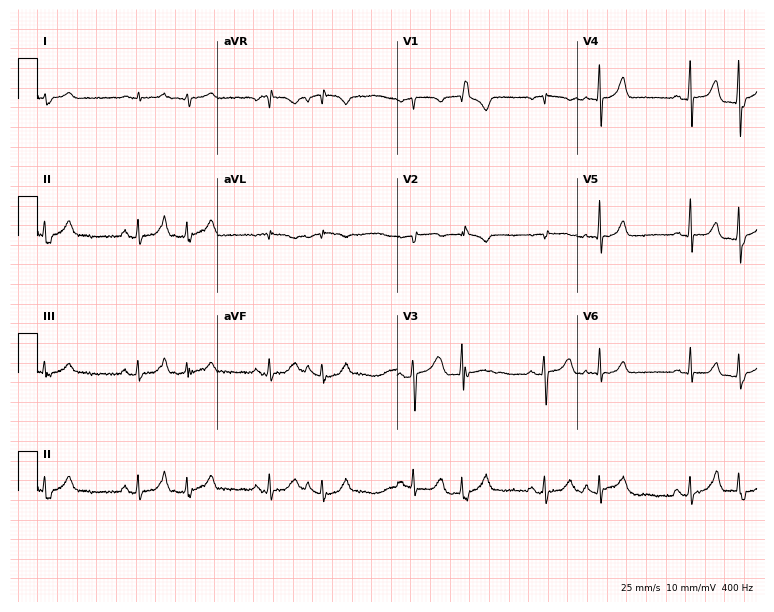
Electrocardiogram, a male patient, 69 years old. Of the six screened findings (first-degree AV block, right bundle branch block (RBBB), left bundle branch block (LBBB), sinus bradycardia, atrial fibrillation (AF), sinus tachycardia), none is recorded.